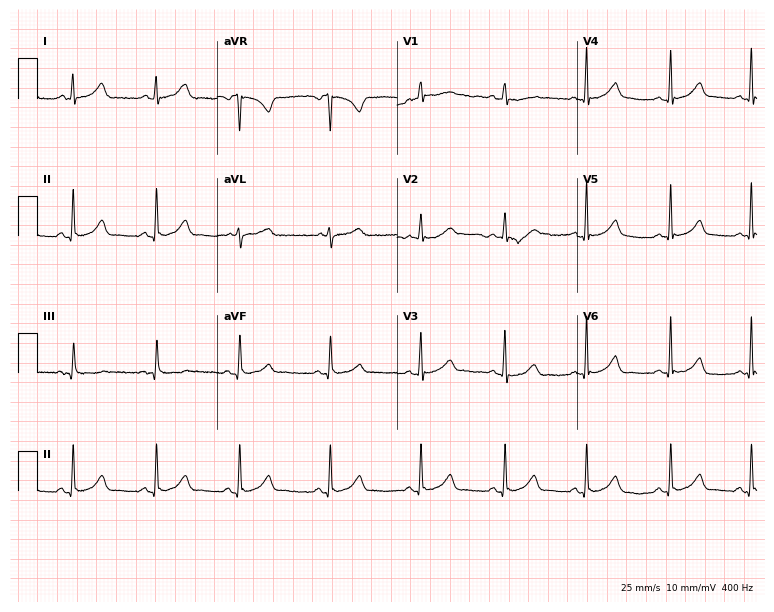
ECG (7.3-second recording at 400 Hz) — a 25-year-old female patient. Labelled as a normal ECG.